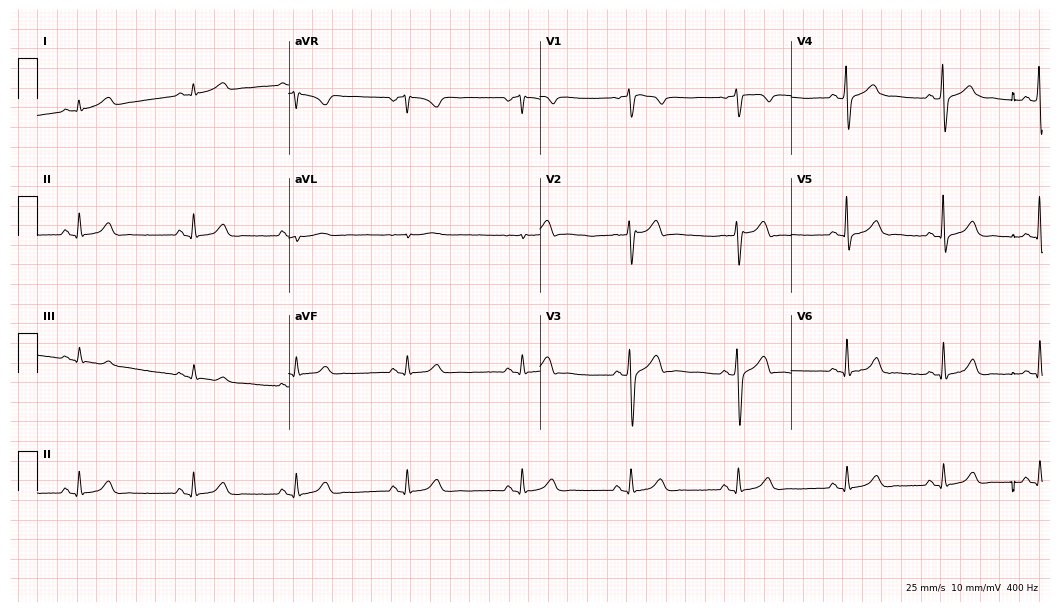
Electrocardiogram, a 38-year-old male patient. Overall reading on record: normal ECG.